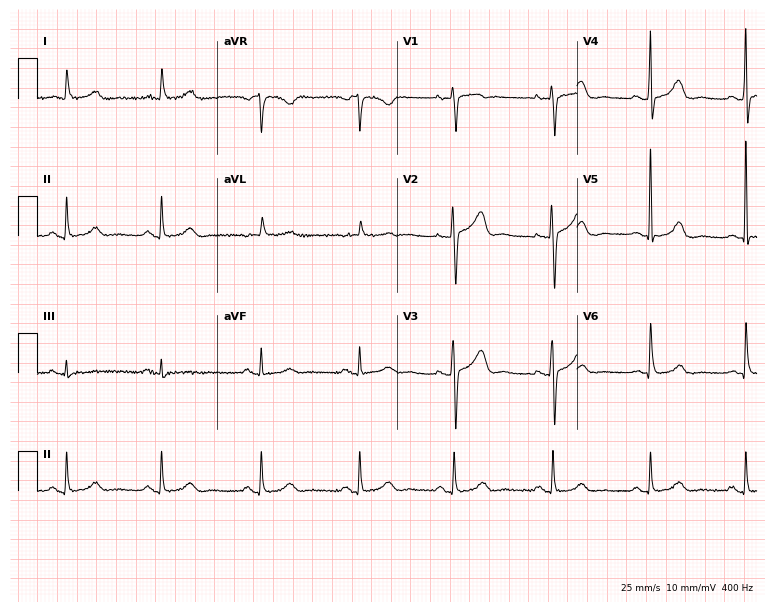
Electrocardiogram, an 84-year-old female. Of the six screened findings (first-degree AV block, right bundle branch block, left bundle branch block, sinus bradycardia, atrial fibrillation, sinus tachycardia), none is recorded.